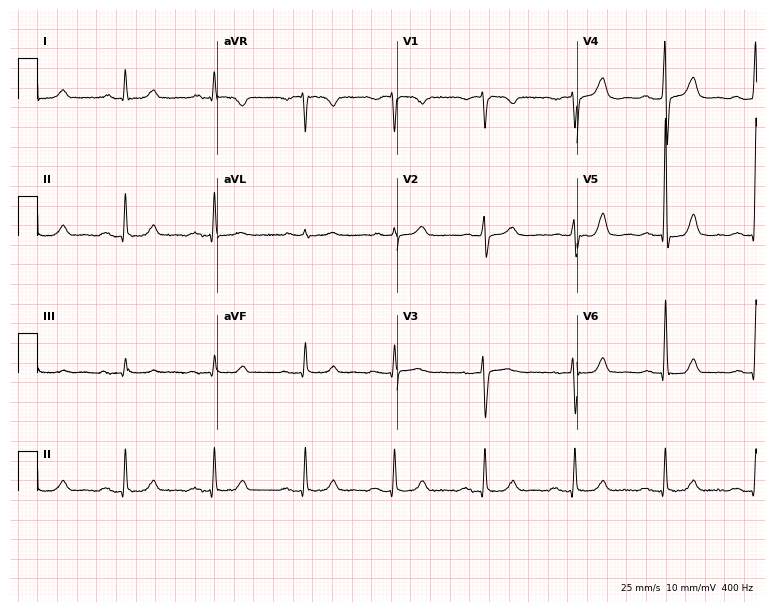
12-lead ECG from a male patient, 69 years old. Screened for six findings — first-degree AV block, right bundle branch block, left bundle branch block, sinus bradycardia, atrial fibrillation, sinus tachycardia — none is recorded.